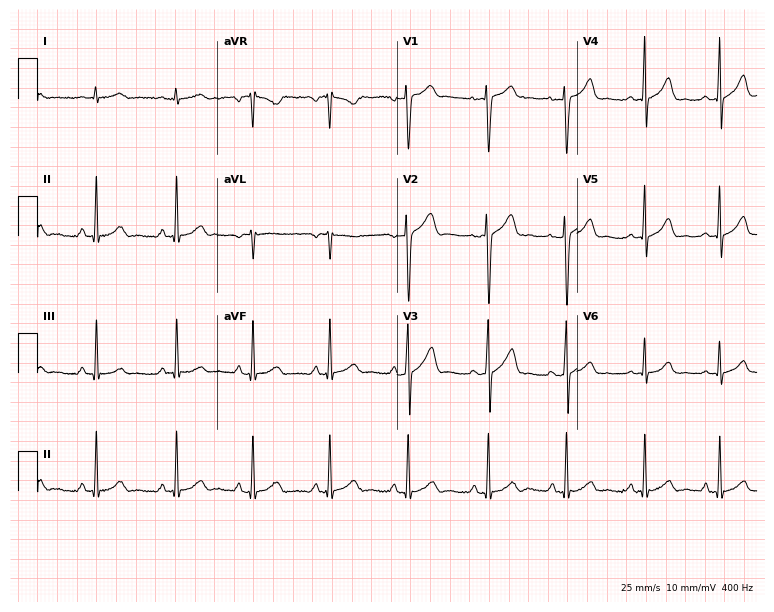
Standard 12-lead ECG recorded from a 21-year-old male. Read as a normal ECG.